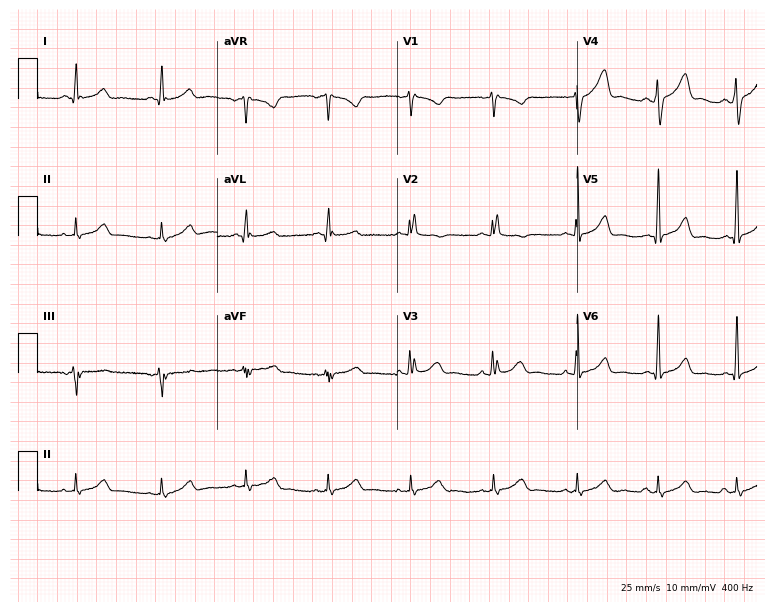
Standard 12-lead ECG recorded from a male patient, 29 years old (7.3-second recording at 400 Hz). None of these six findings is recorded: first-degree AV block, right bundle branch block, left bundle branch block, sinus bradycardia, atrial fibrillation, sinus tachycardia. Only these six findings were labelled.